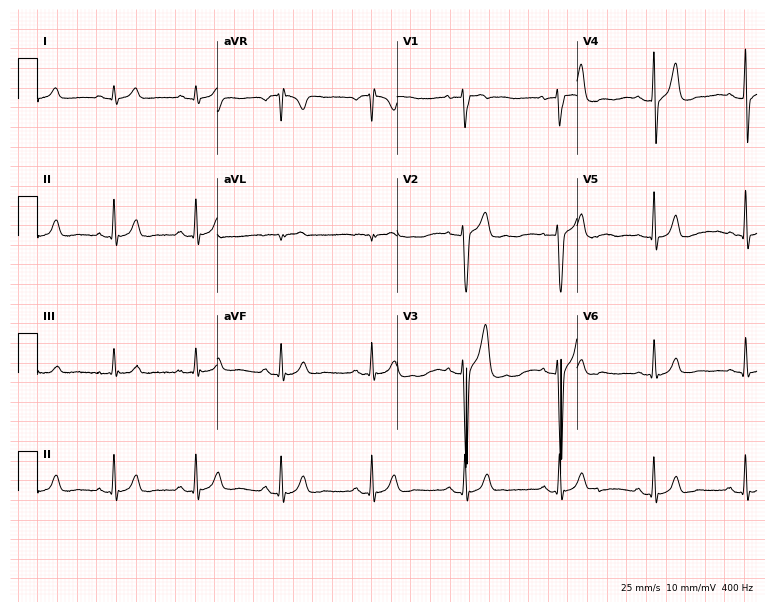
Standard 12-lead ECG recorded from a 30-year-old male (7.3-second recording at 400 Hz). Read as a normal ECG.